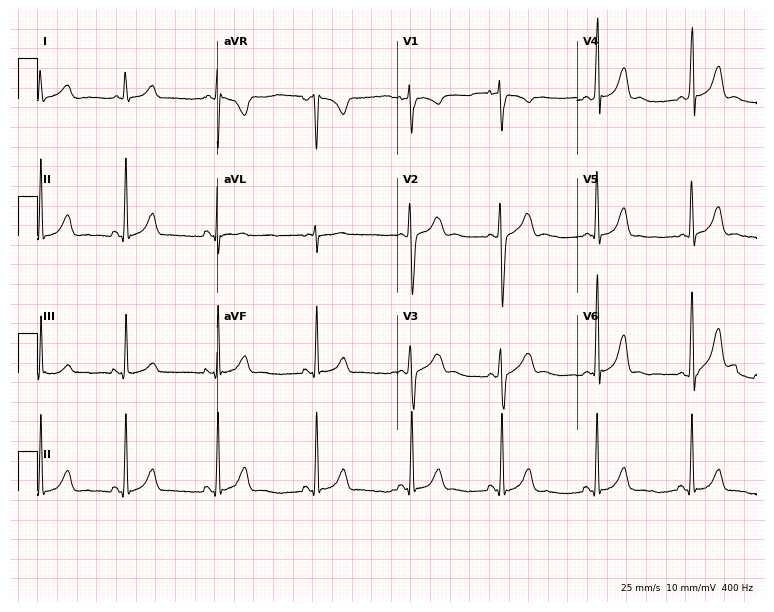
Electrocardiogram (7.3-second recording at 400 Hz), a female patient, 29 years old. Overall reading on record: normal ECG.